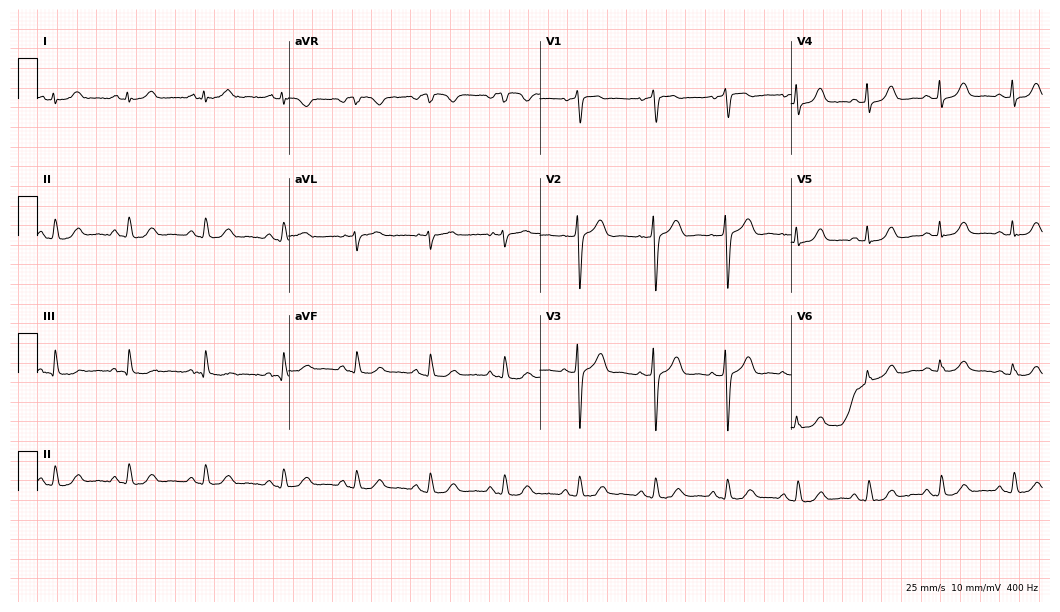
Standard 12-lead ECG recorded from a 59-year-old female. Read as a normal ECG.